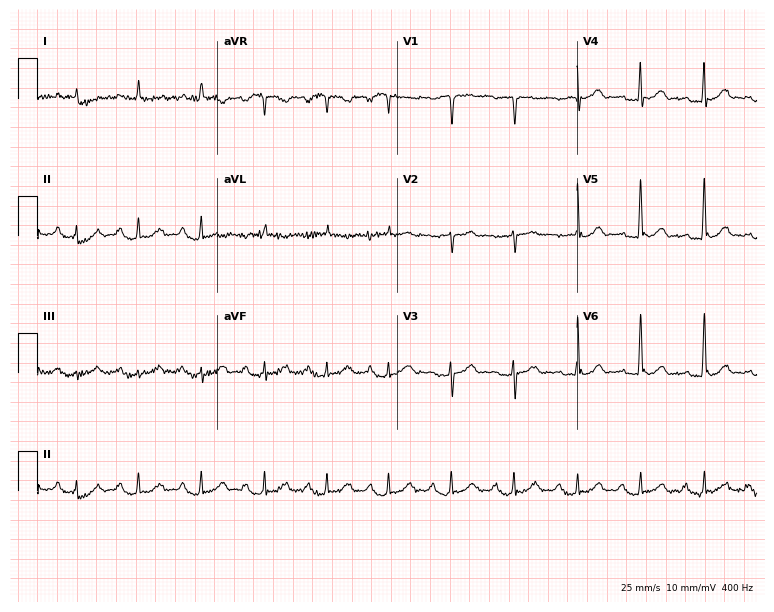
12-lead ECG from a 69-year-old male (7.3-second recording at 400 Hz). Recorded interpretation: within normal limits.